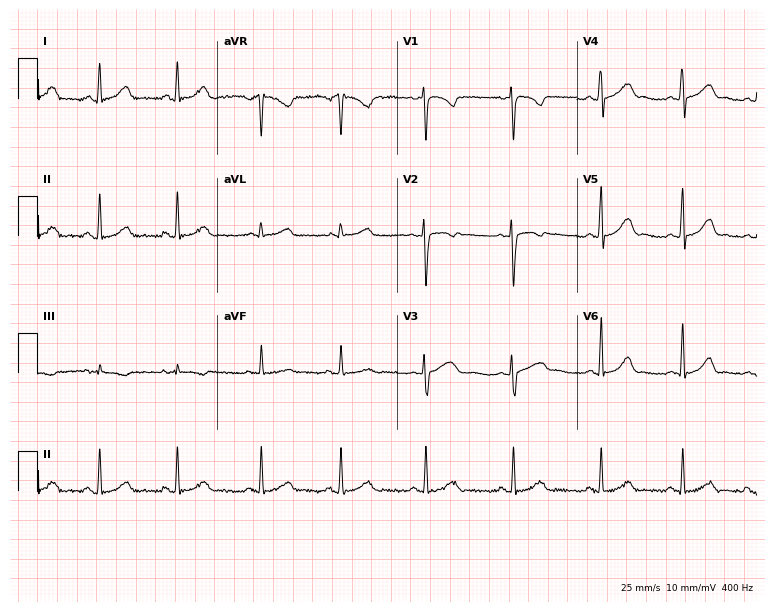
12-lead ECG from a female, 29 years old. No first-degree AV block, right bundle branch block, left bundle branch block, sinus bradycardia, atrial fibrillation or sinus tachycardia recorded for this tracing. Only these six findings were labelled.